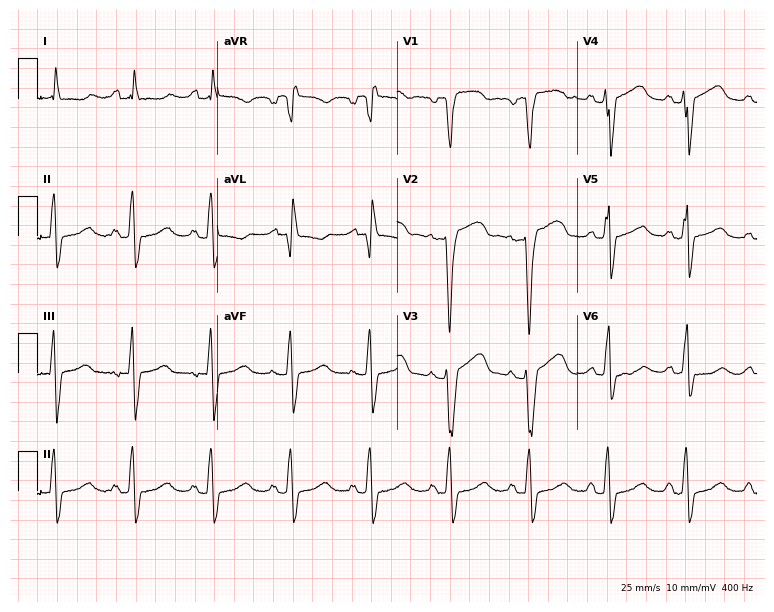
12-lead ECG from a 22-year-old female patient. Shows right bundle branch block.